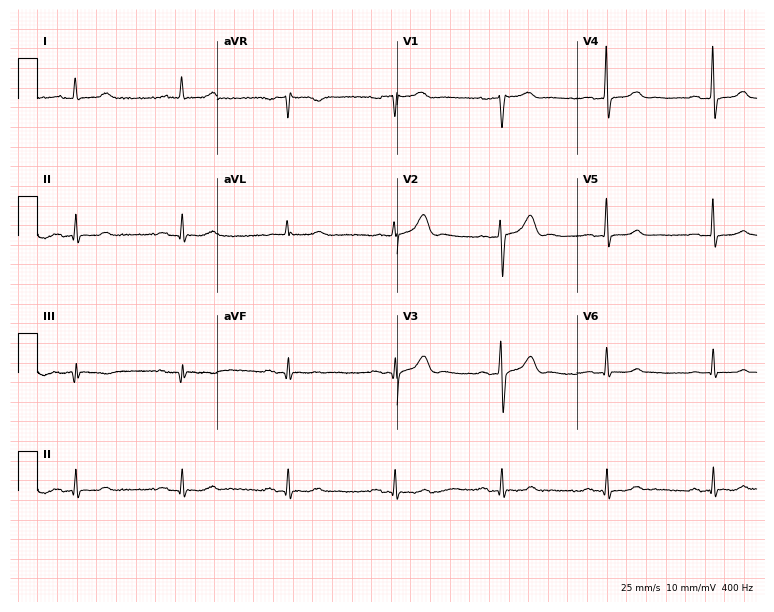
Resting 12-lead electrocardiogram. Patient: a 78-year-old male. None of these six findings is recorded: first-degree AV block, right bundle branch block, left bundle branch block, sinus bradycardia, atrial fibrillation, sinus tachycardia.